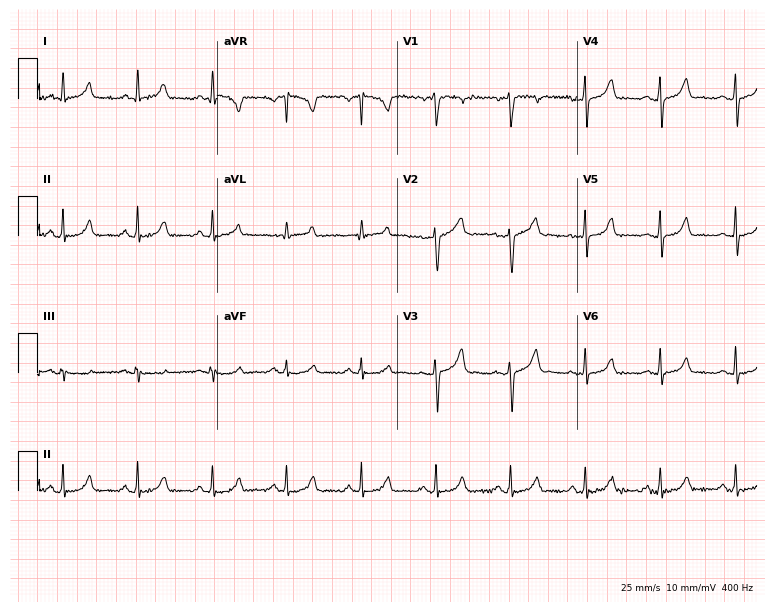
Electrocardiogram (7.3-second recording at 400 Hz), a woman, 47 years old. Overall reading on record: normal ECG.